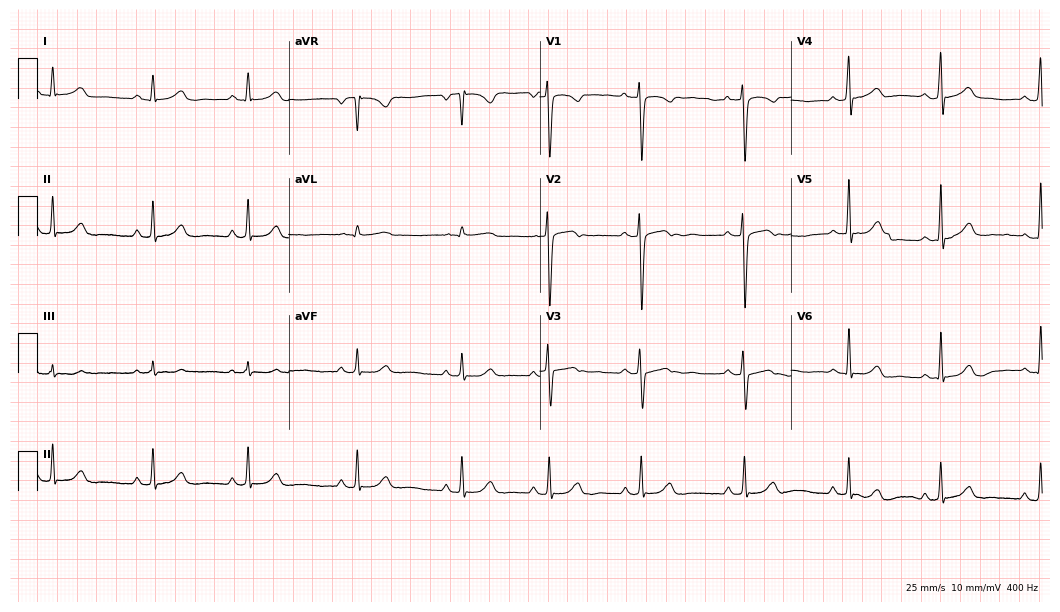
ECG — a female, 29 years old. Labelled as a normal ECG.